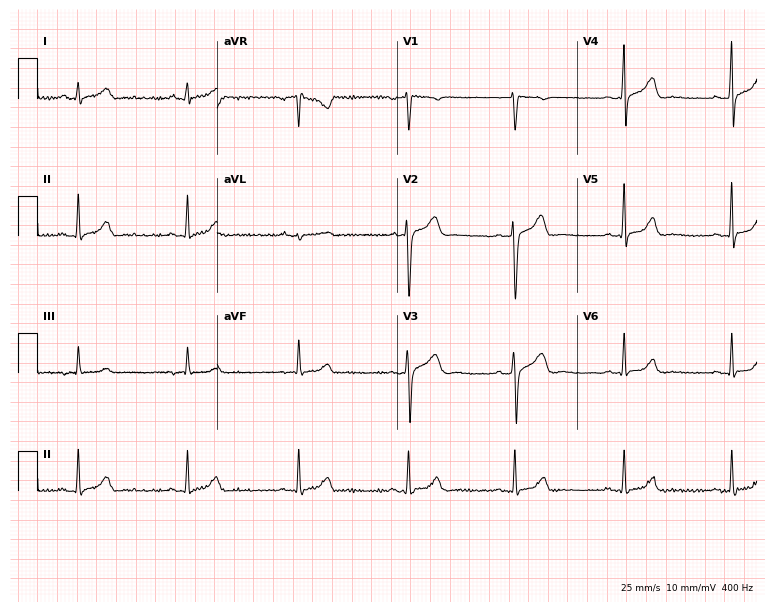
Standard 12-lead ECG recorded from a male patient, 34 years old. Read as a normal ECG.